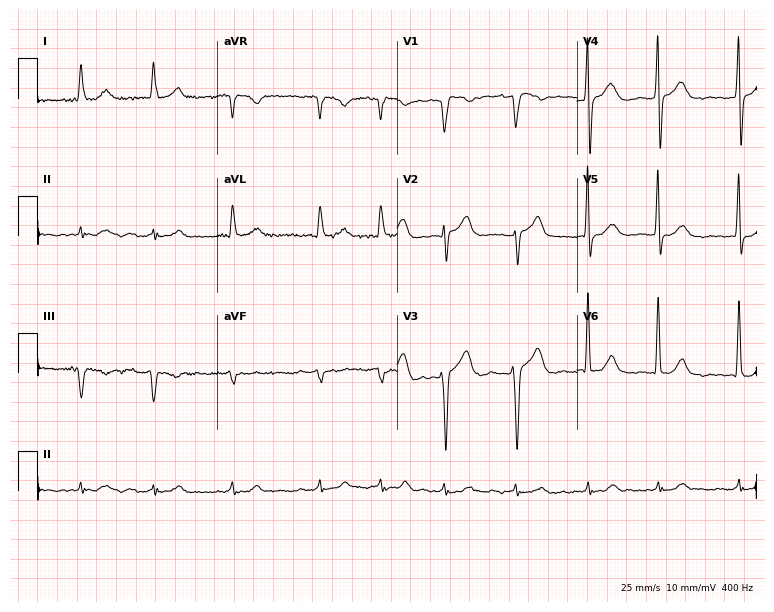
Standard 12-lead ECG recorded from a female, 74 years old (7.3-second recording at 400 Hz). None of these six findings is recorded: first-degree AV block, right bundle branch block (RBBB), left bundle branch block (LBBB), sinus bradycardia, atrial fibrillation (AF), sinus tachycardia.